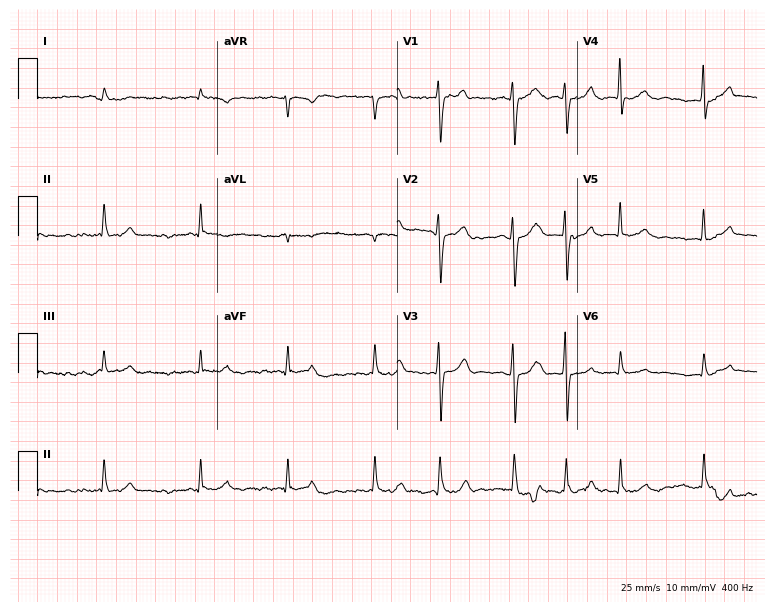
Standard 12-lead ECG recorded from a male, 80 years old (7.3-second recording at 400 Hz). The tracing shows atrial fibrillation (AF).